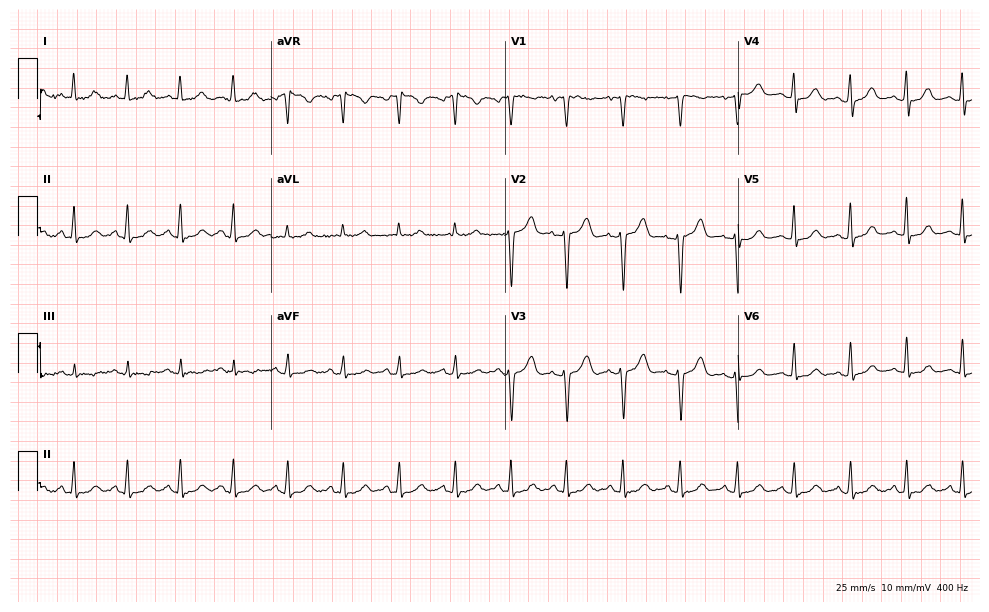
Standard 12-lead ECG recorded from a 49-year-old female (9.5-second recording at 400 Hz). The tracing shows sinus tachycardia (a sinus rate of 100 beats per minute or more).